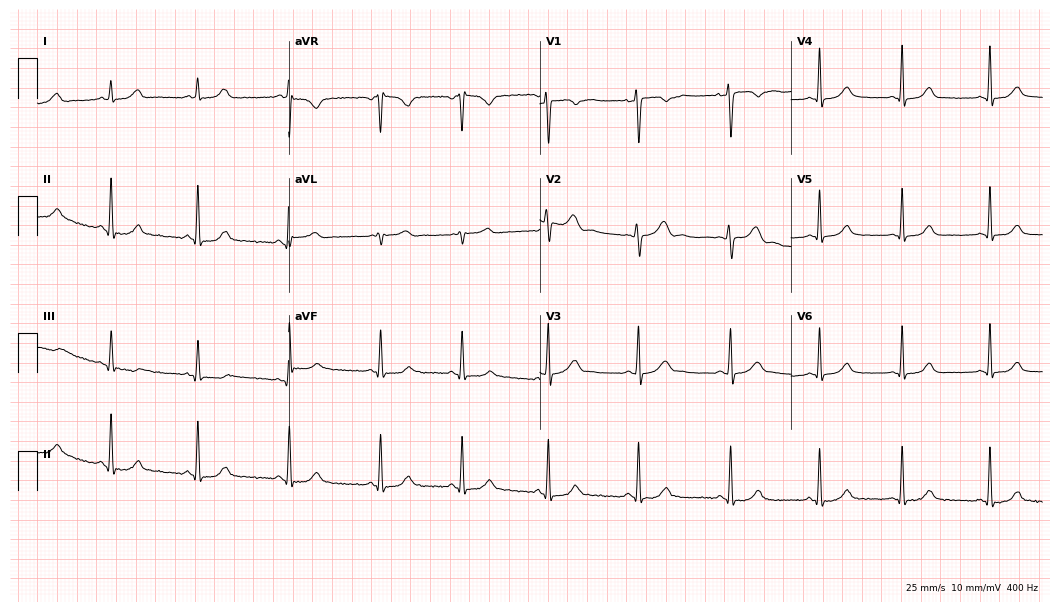
12-lead ECG from a 25-year-old female. Labelled as a normal ECG.